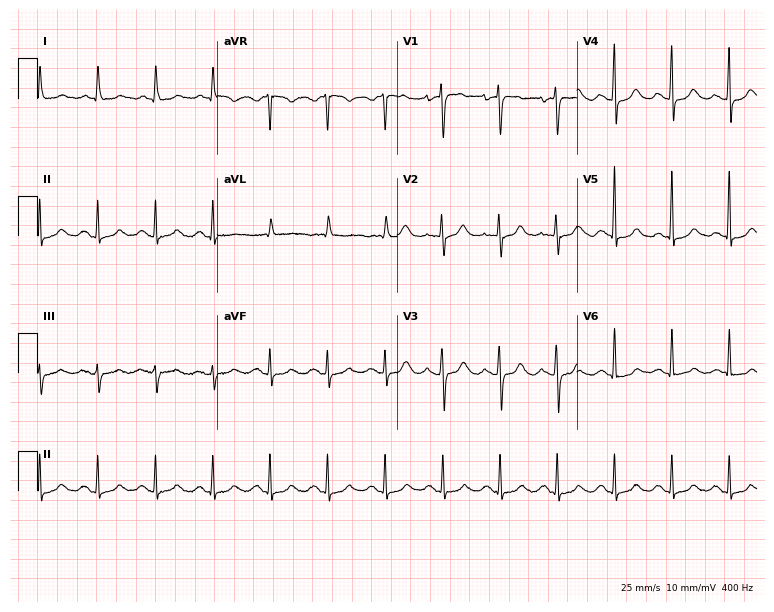
12-lead ECG from a 75-year-old woman. Findings include sinus tachycardia (a sinus rate of 100 beats per minute or more).